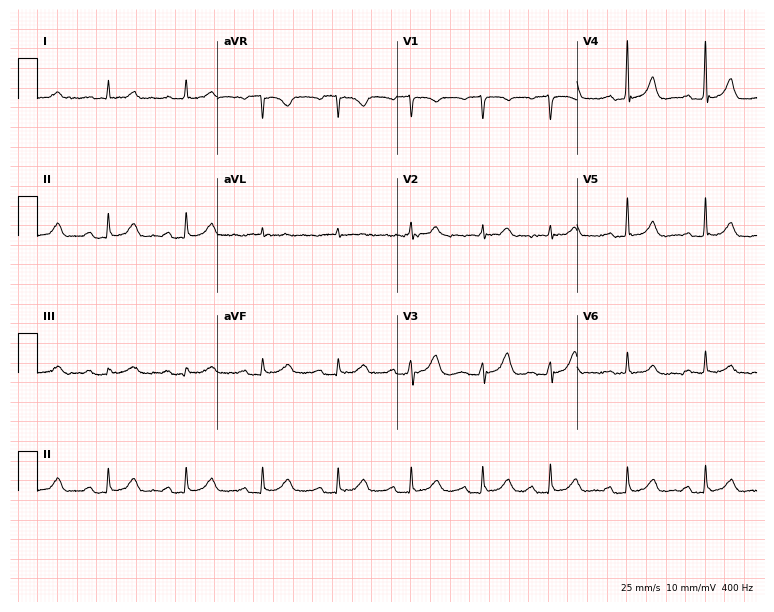
12-lead ECG (7.3-second recording at 400 Hz) from a female, 72 years old. Findings include first-degree AV block.